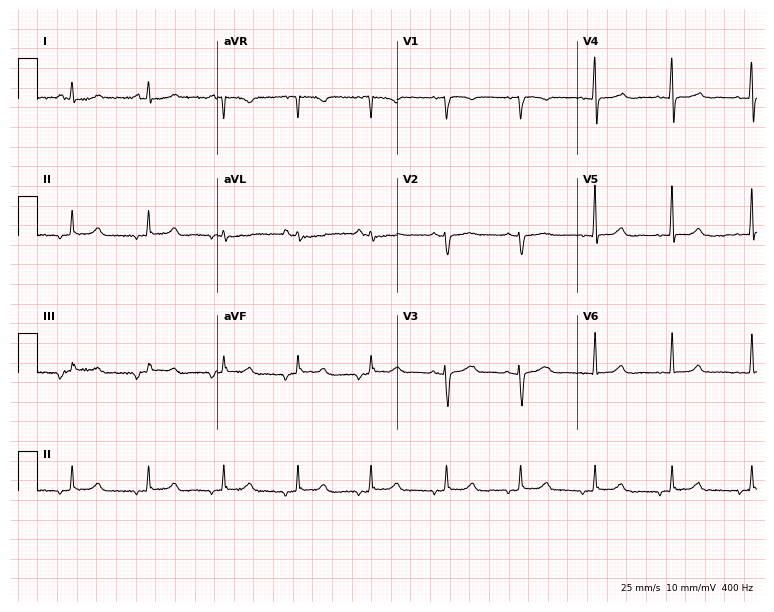
12-lead ECG from a 54-year-old woman. No first-degree AV block, right bundle branch block (RBBB), left bundle branch block (LBBB), sinus bradycardia, atrial fibrillation (AF) or sinus tachycardia recorded for this tracing. Findings outside these six are not listed.